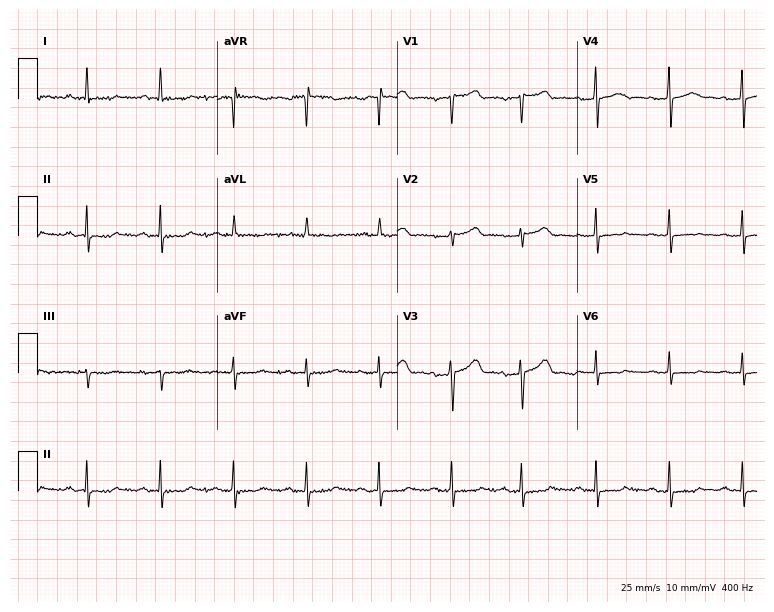
12-lead ECG (7.3-second recording at 400 Hz) from a female patient, 64 years old. Screened for six findings — first-degree AV block, right bundle branch block, left bundle branch block, sinus bradycardia, atrial fibrillation, sinus tachycardia — none is recorded. Findings outside these six are not listed.